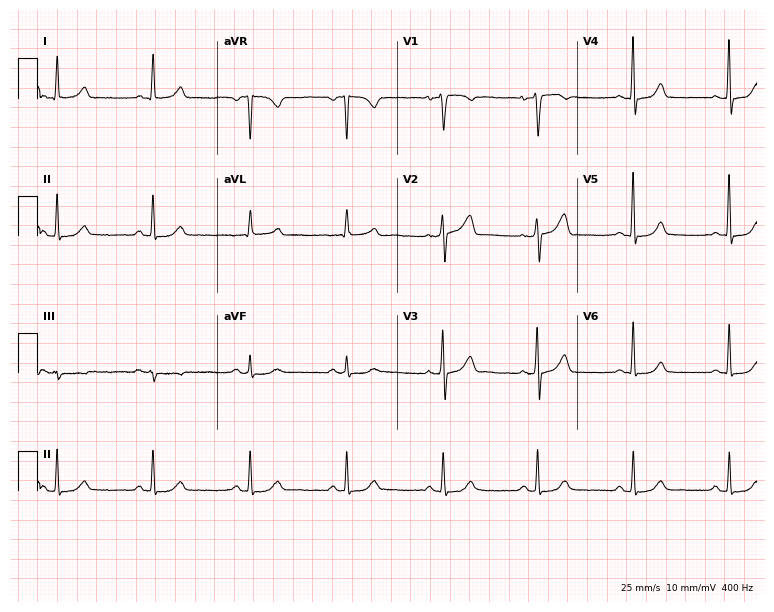
12-lead ECG (7.3-second recording at 400 Hz) from a female patient, 64 years old. Labelled as a normal ECG.